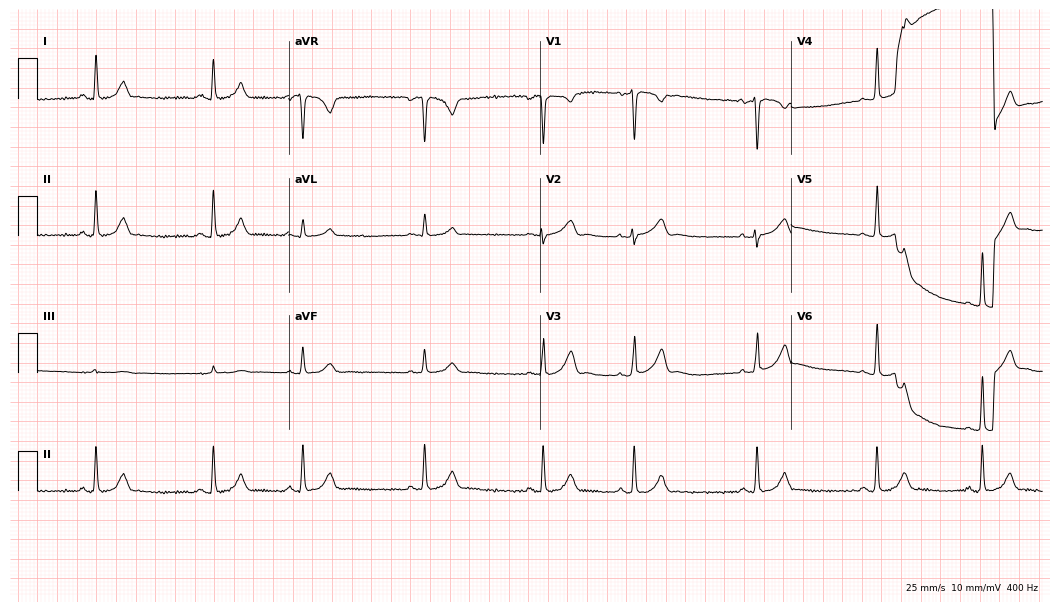
Resting 12-lead electrocardiogram (10.2-second recording at 400 Hz). Patient: a female, 17 years old. Read as a normal ECG.